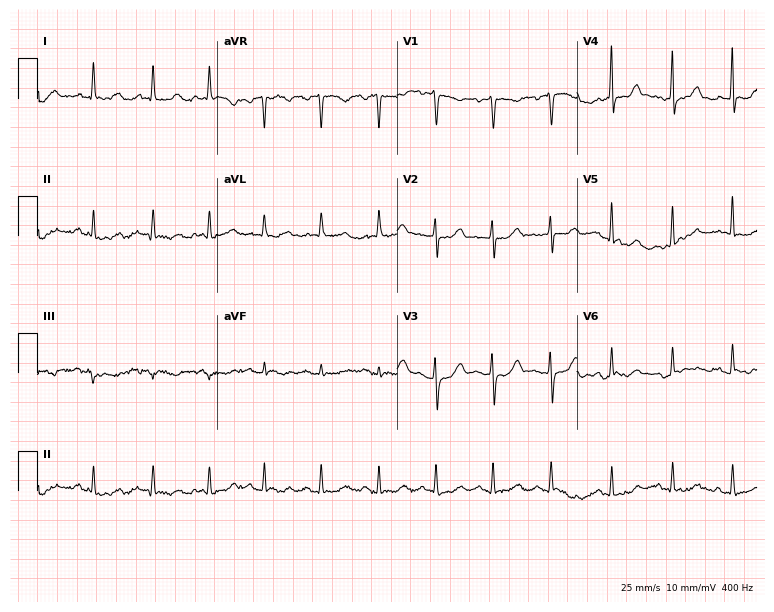
12-lead ECG from a 40-year-old female patient (7.3-second recording at 400 Hz). Shows sinus tachycardia (a sinus rate of 100 beats per minute or more).